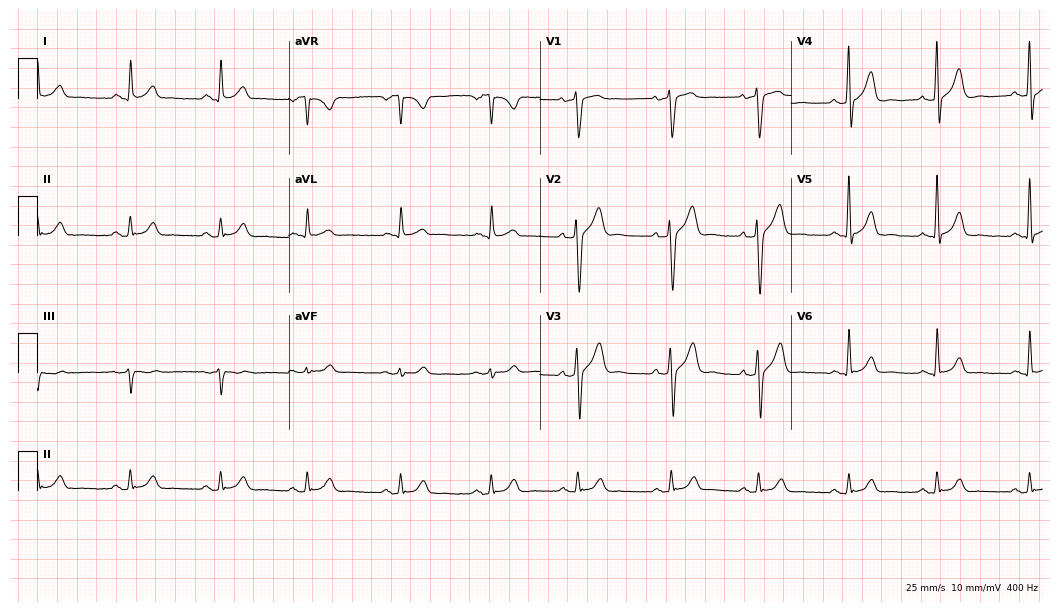
Electrocardiogram (10.2-second recording at 400 Hz), a female patient, 59 years old. Of the six screened findings (first-degree AV block, right bundle branch block (RBBB), left bundle branch block (LBBB), sinus bradycardia, atrial fibrillation (AF), sinus tachycardia), none is recorded.